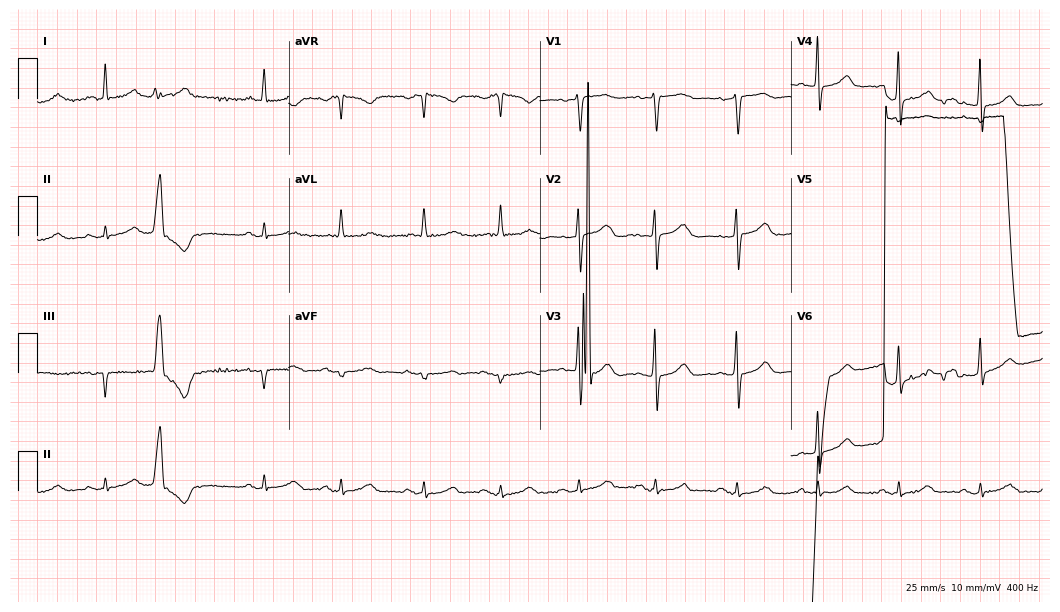
ECG — a female patient, 78 years old. Findings include sinus tachycardia (a sinus rate of 100 beats per minute or more).